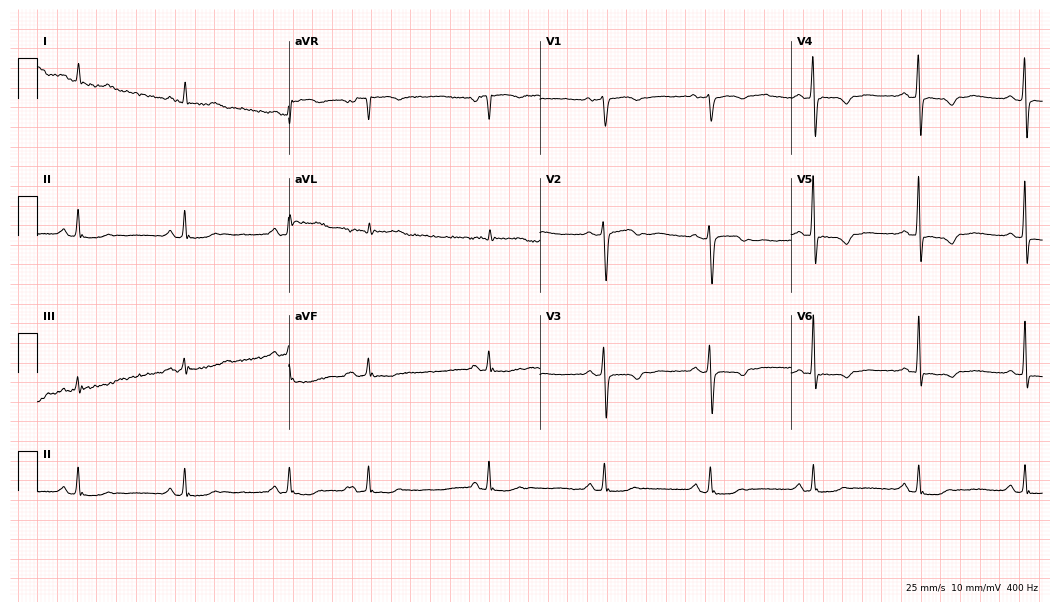
ECG — a female, 59 years old. Screened for six findings — first-degree AV block, right bundle branch block, left bundle branch block, sinus bradycardia, atrial fibrillation, sinus tachycardia — none is recorded.